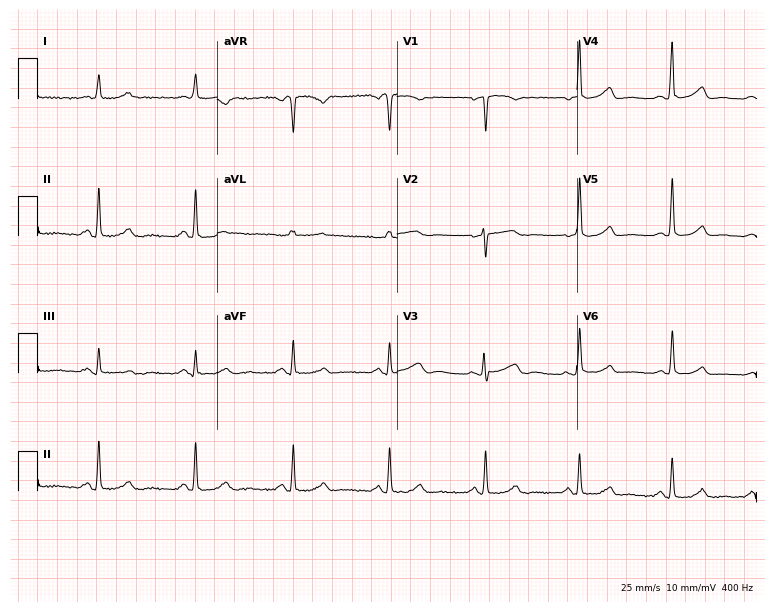
12-lead ECG from a 55-year-old female. Screened for six findings — first-degree AV block, right bundle branch block (RBBB), left bundle branch block (LBBB), sinus bradycardia, atrial fibrillation (AF), sinus tachycardia — none is recorded. Other findings, if any, are not listed.